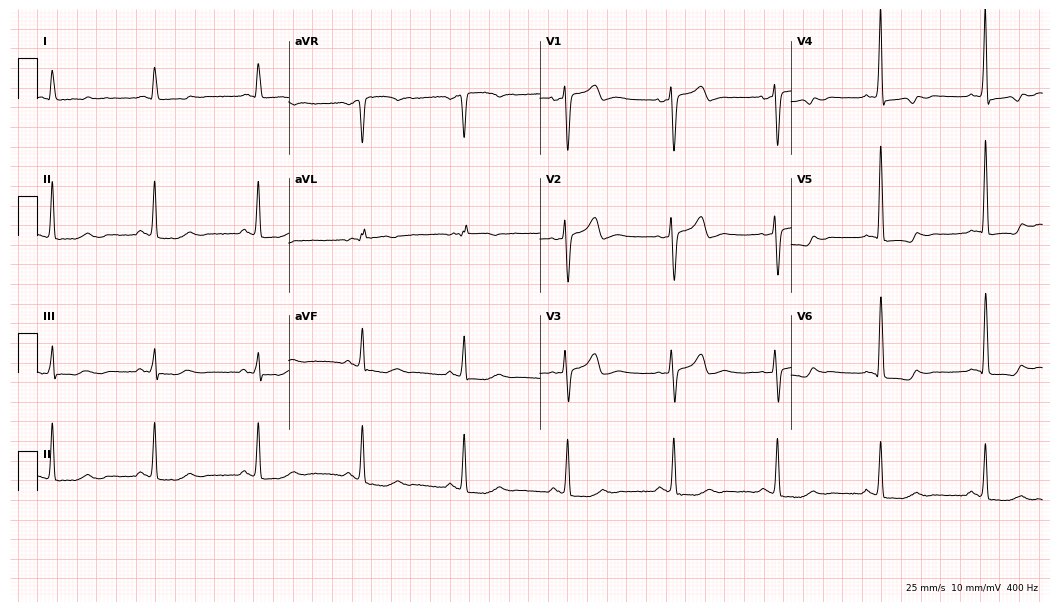
Resting 12-lead electrocardiogram. Patient: a female, 71 years old. None of these six findings is recorded: first-degree AV block, right bundle branch block, left bundle branch block, sinus bradycardia, atrial fibrillation, sinus tachycardia.